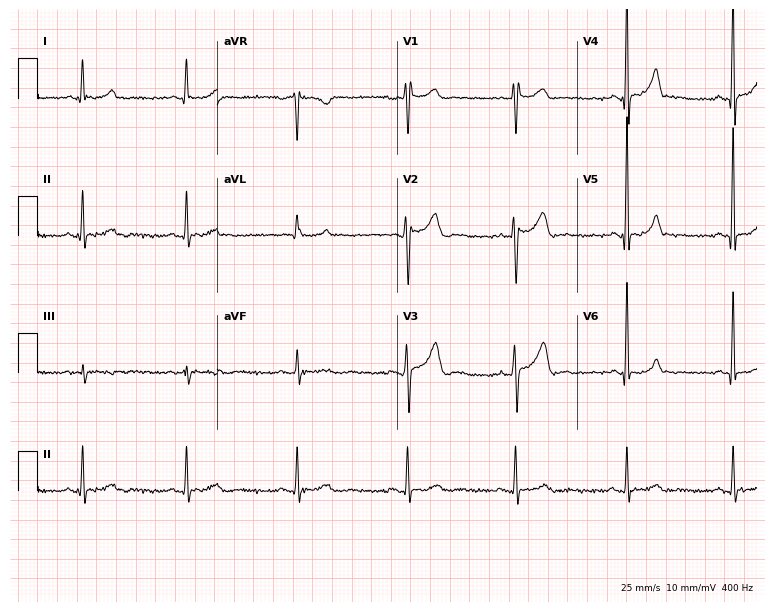
Standard 12-lead ECG recorded from a man, 38 years old. Read as a normal ECG.